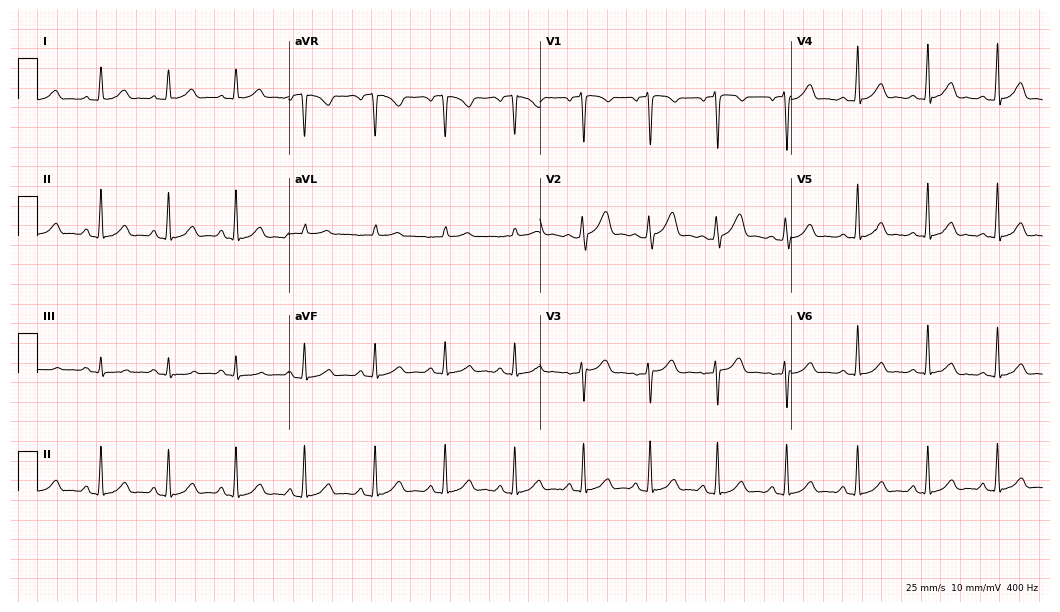
ECG (10.2-second recording at 400 Hz) — a 37-year-old woman. Labelled as a normal ECG.